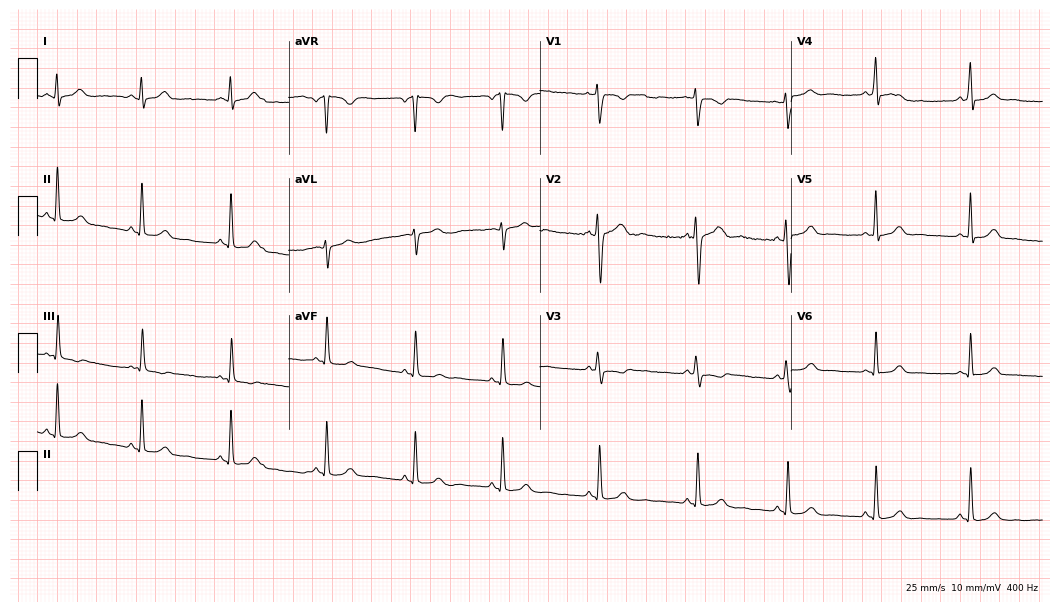
Resting 12-lead electrocardiogram. Patient: a female, 17 years old. Read as a normal ECG.